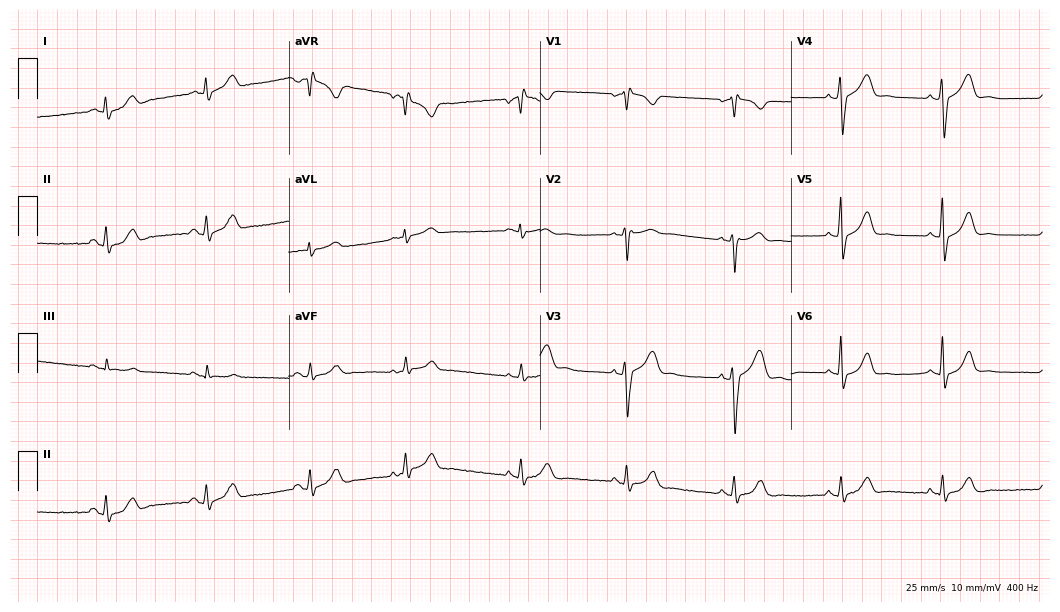
Standard 12-lead ECG recorded from a 35-year-old man. None of these six findings is recorded: first-degree AV block, right bundle branch block, left bundle branch block, sinus bradycardia, atrial fibrillation, sinus tachycardia. Only these six findings were labelled.